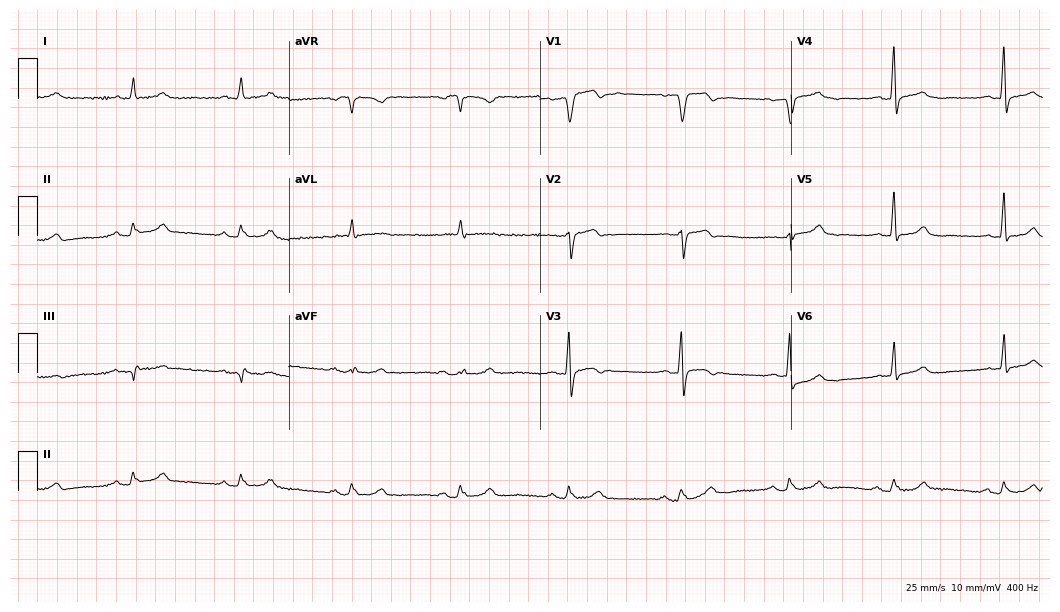
Electrocardiogram (10.2-second recording at 400 Hz), a 65-year-old male. Of the six screened findings (first-degree AV block, right bundle branch block, left bundle branch block, sinus bradycardia, atrial fibrillation, sinus tachycardia), none is recorded.